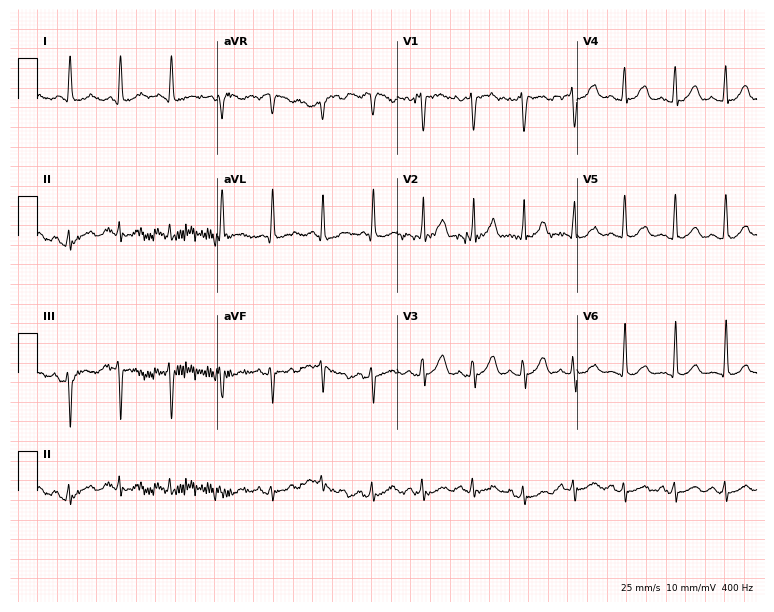
Standard 12-lead ECG recorded from a 70-year-old man (7.3-second recording at 400 Hz). None of these six findings is recorded: first-degree AV block, right bundle branch block (RBBB), left bundle branch block (LBBB), sinus bradycardia, atrial fibrillation (AF), sinus tachycardia.